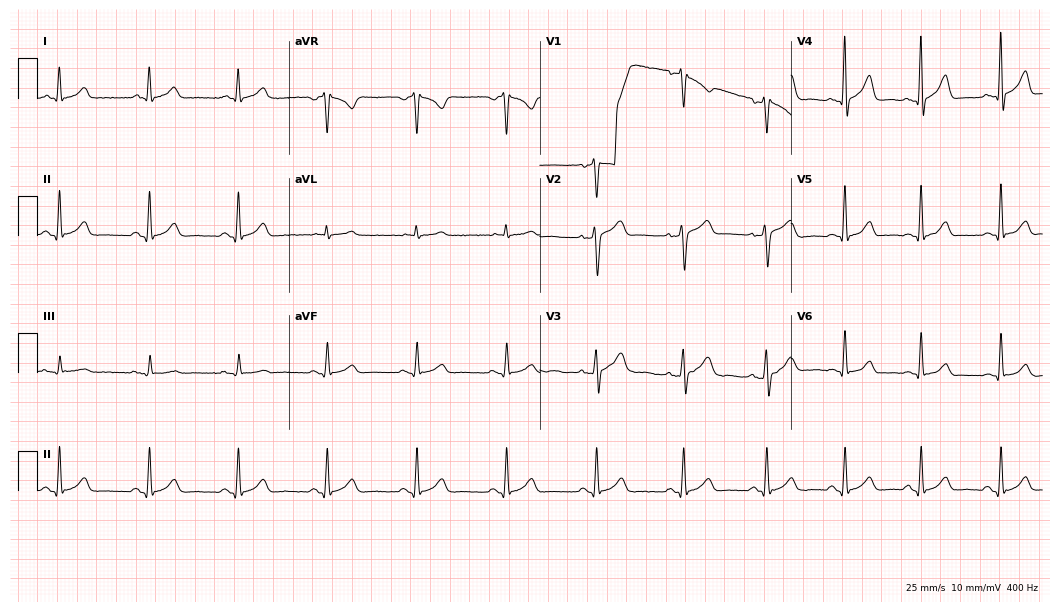
ECG — a 44-year-old man. Labelled as a normal ECG.